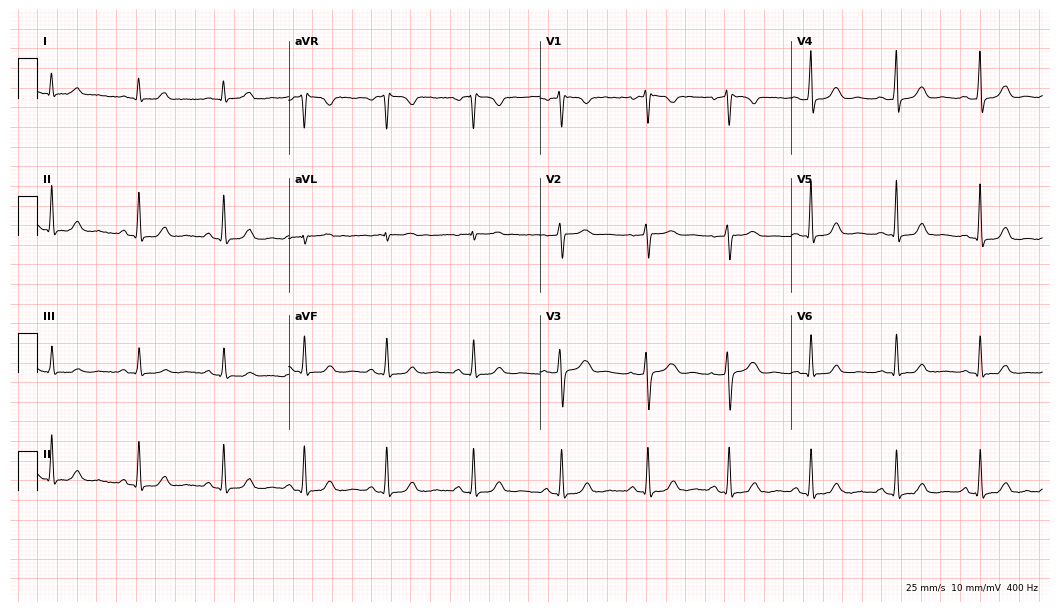
Electrocardiogram (10.2-second recording at 400 Hz), a 48-year-old female patient. Overall reading on record: normal ECG.